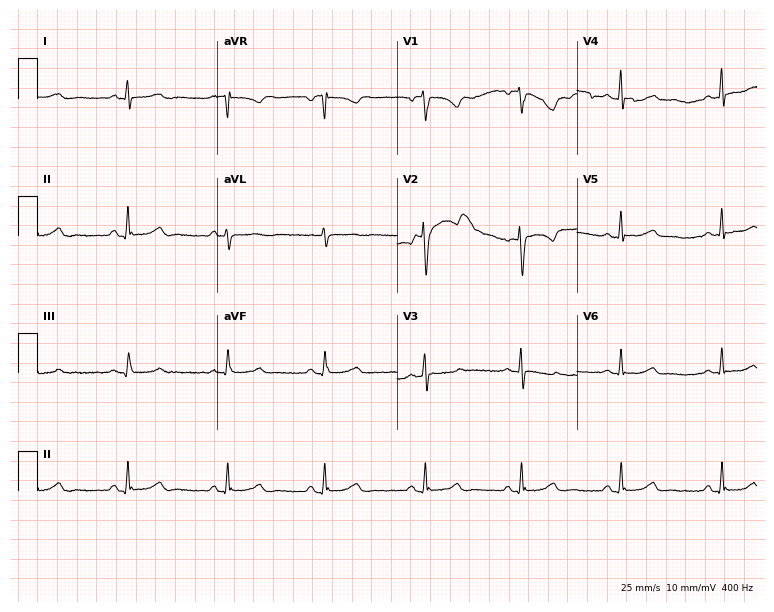
12-lead ECG from a female patient, 54 years old (7.3-second recording at 400 Hz). Recorded interpretation: within normal limits.